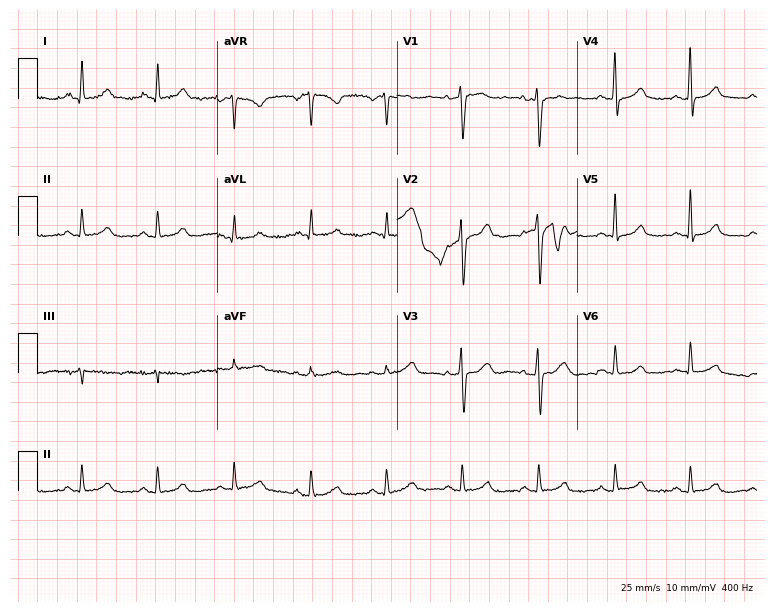
Electrocardiogram (7.3-second recording at 400 Hz), a female patient, 44 years old. Overall reading on record: normal ECG.